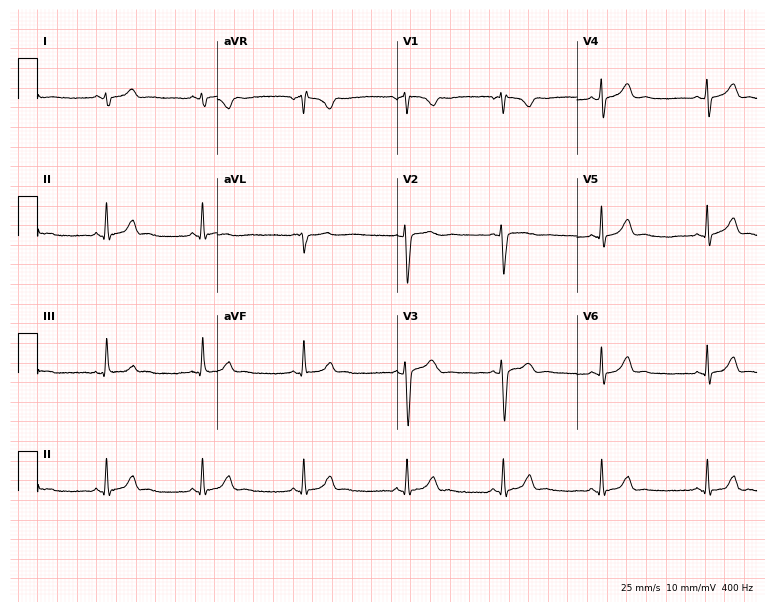
12-lead ECG from a woman, 28 years old. Screened for six findings — first-degree AV block, right bundle branch block (RBBB), left bundle branch block (LBBB), sinus bradycardia, atrial fibrillation (AF), sinus tachycardia — none is recorded.